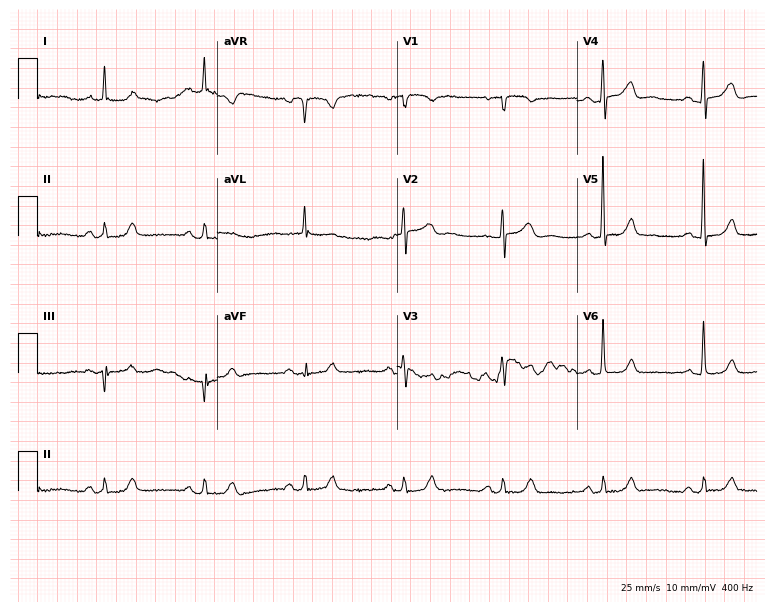
Electrocardiogram (7.3-second recording at 400 Hz), a female, 69 years old. Overall reading on record: normal ECG.